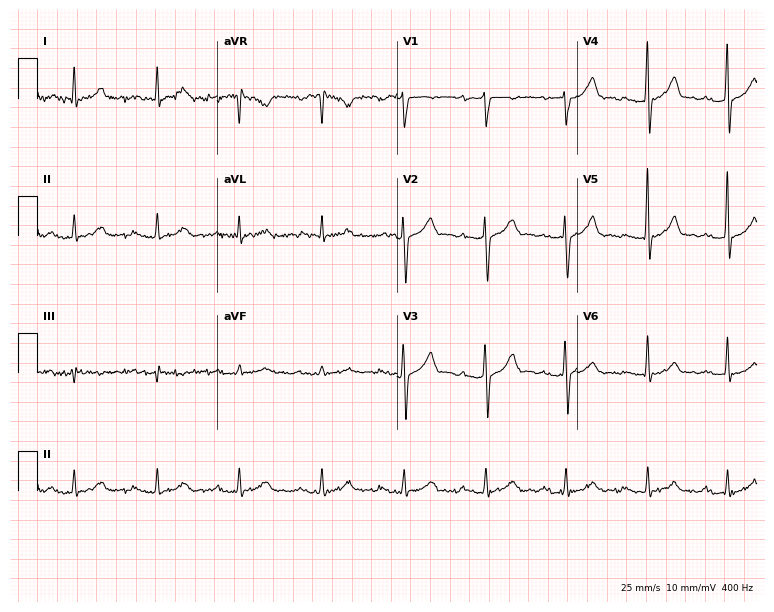
Resting 12-lead electrocardiogram. Patient: a 53-year-old male. None of these six findings is recorded: first-degree AV block, right bundle branch block (RBBB), left bundle branch block (LBBB), sinus bradycardia, atrial fibrillation (AF), sinus tachycardia. Only these six findings were labelled.